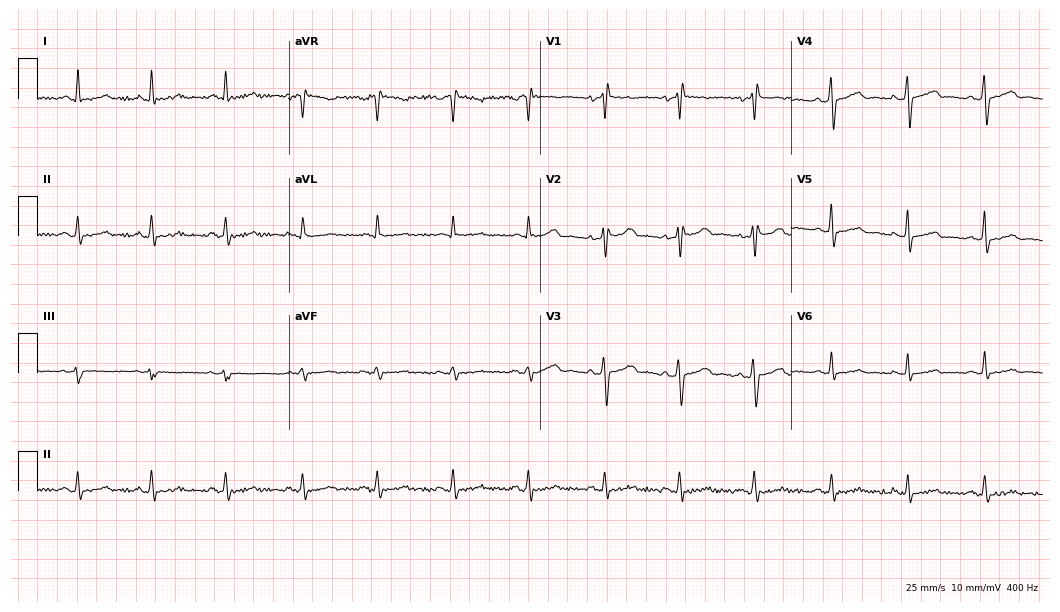
12-lead ECG (10.2-second recording at 400 Hz) from a 48-year-old man. Screened for six findings — first-degree AV block, right bundle branch block, left bundle branch block, sinus bradycardia, atrial fibrillation, sinus tachycardia — none is recorded. Other findings, if any, are not listed.